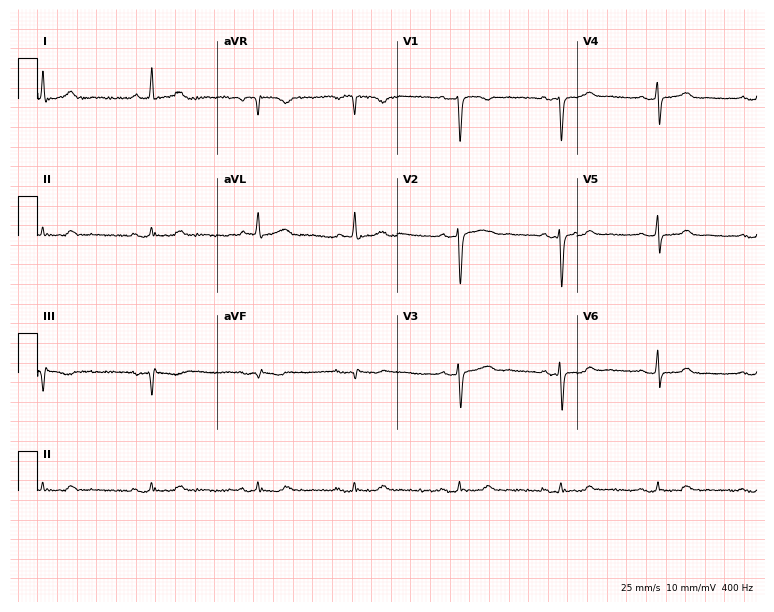
ECG (7.3-second recording at 400 Hz) — a 47-year-old female patient. Screened for six findings — first-degree AV block, right bundle branch block (RBBB), left bundle branch block (LBBB), sinus bradycardia, atrial fibrillation (AF), sinus tachycardia — none is recorded. Findings outside these six are not listed.